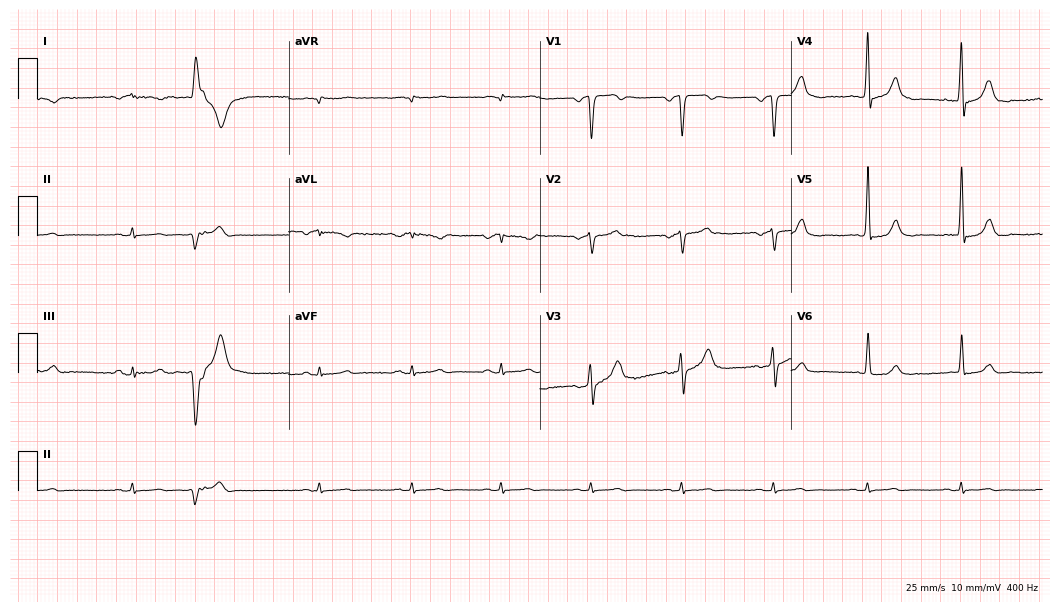
12-lead ECG from a male patient, 76 years old. Screened for six findings — first-degree AV block, right bundle branch block, left bundle branch block, sinus bradycardia, atrial fibrillation, sinus tachycardia — none is recorded.